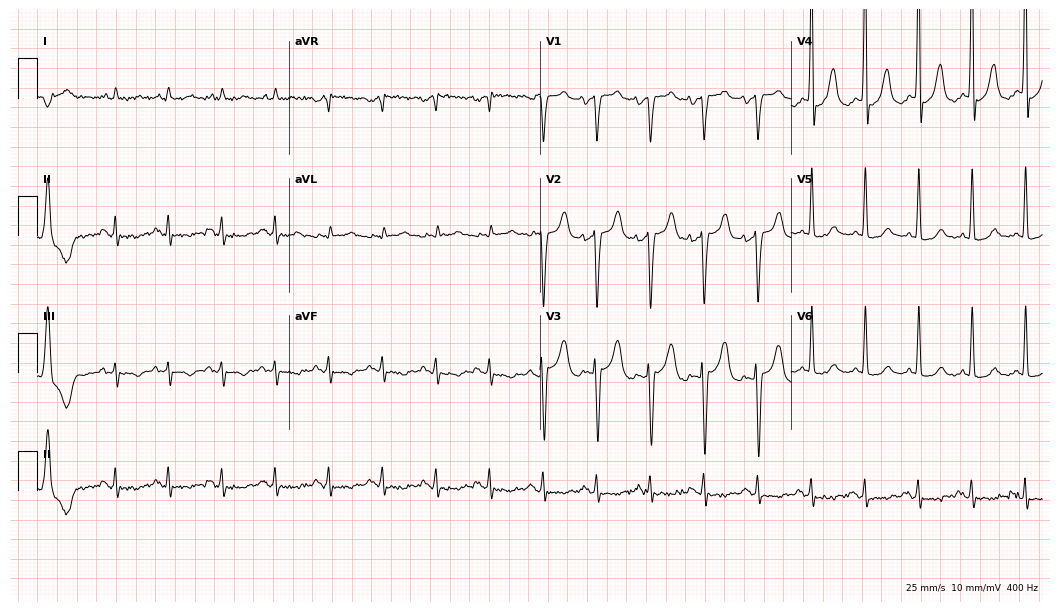
ECG — an 84-year-old male. Findings include sinus tachycardia (a sinus rate of 100 beats per minute or more).